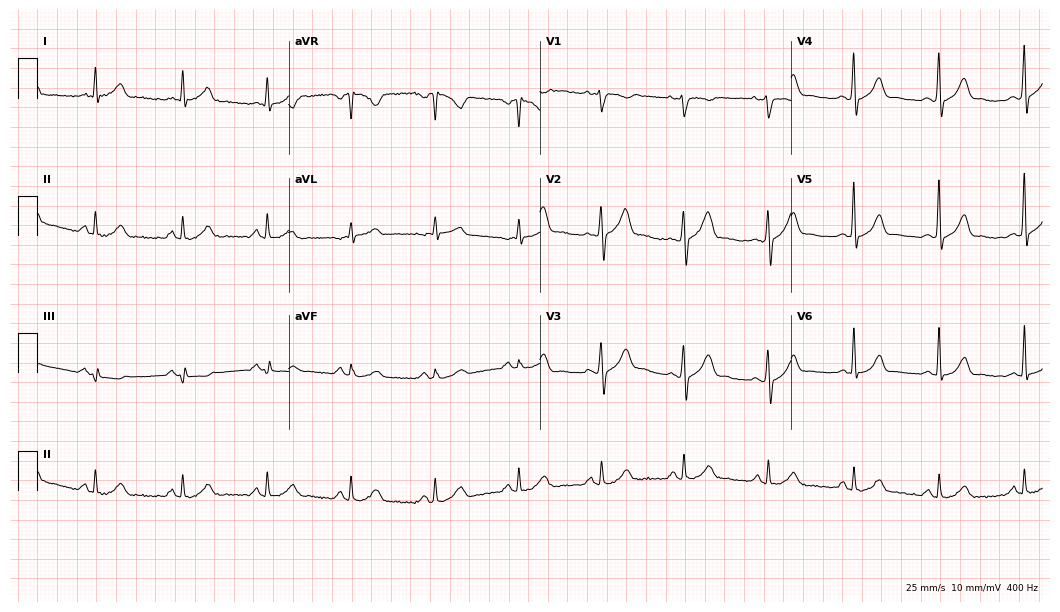
Standard 12-lead ECG recorded from a 43-year-old male (10.2-second recording at 400 Hz). Read as a normal ECG.